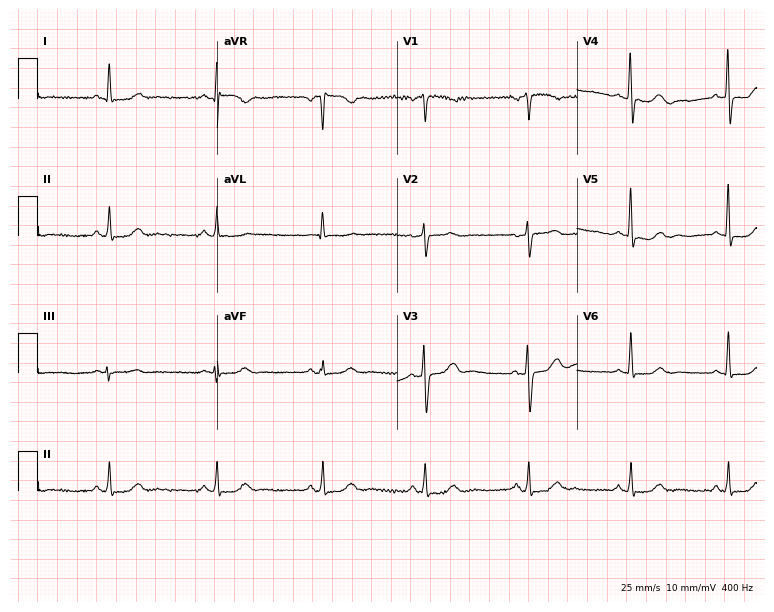
Resting 12-lead electrocardiogram (7.3-second recording at 400 Hz). Patient: a 59-year-old female. Read as a normal ECG.